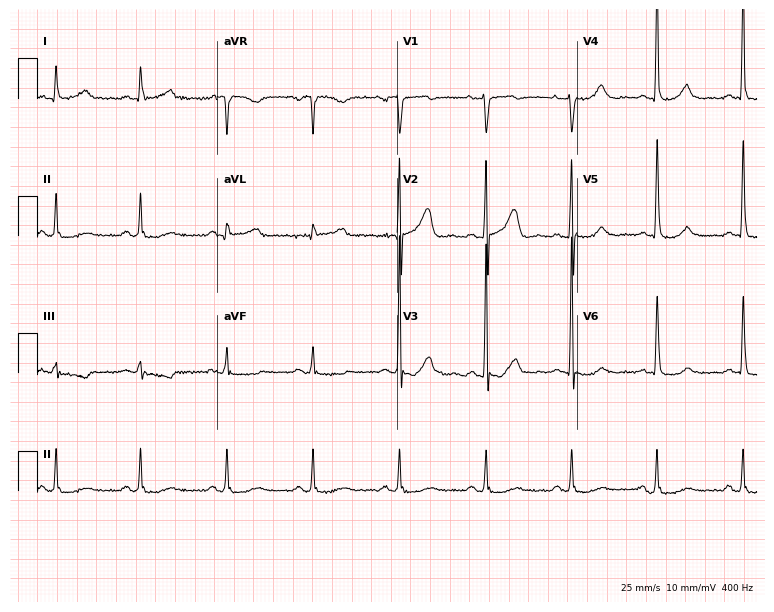
Electrocardiogram, a 54-year-old male. Of the six screened findings (first-degree AV block, right bundle branch block, left bundle branch block, sinus bradycardia, atrial fibrillation, sinus tachycardia), none is recorded. Only these six findings were labelled.